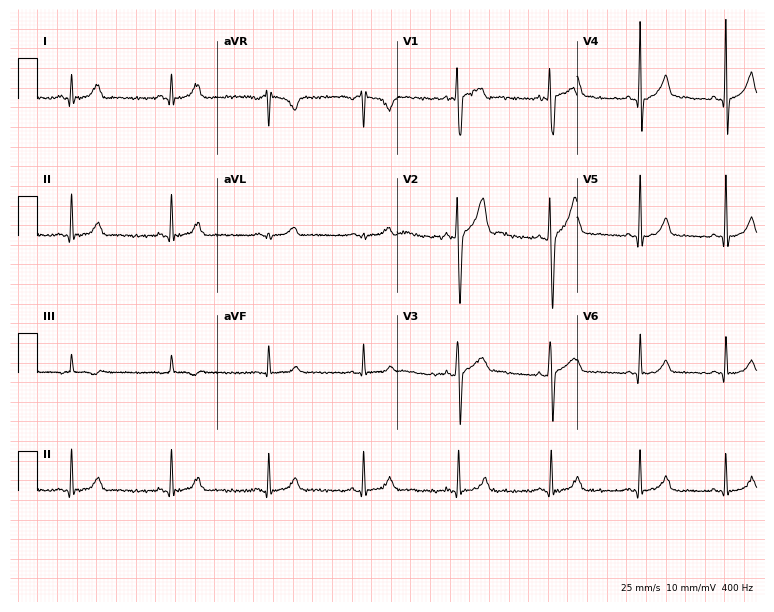
12-lead ECG from a male patient, 19 years old. Recorded interpretation: within normal limits.